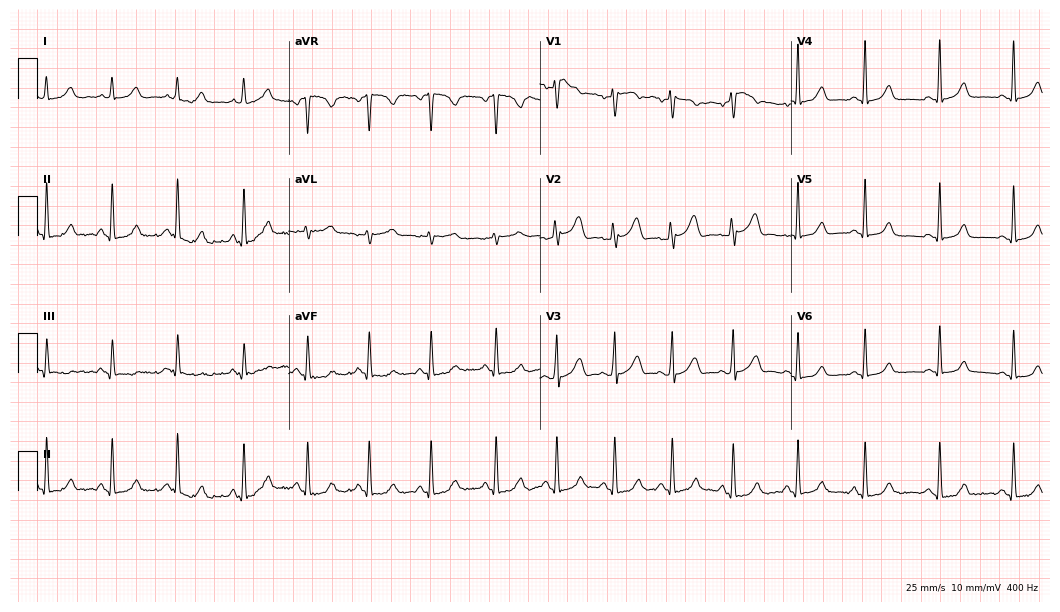
Standard 12-lead ECG recorded from a woman, 36 years old. Read as a normal ECG.